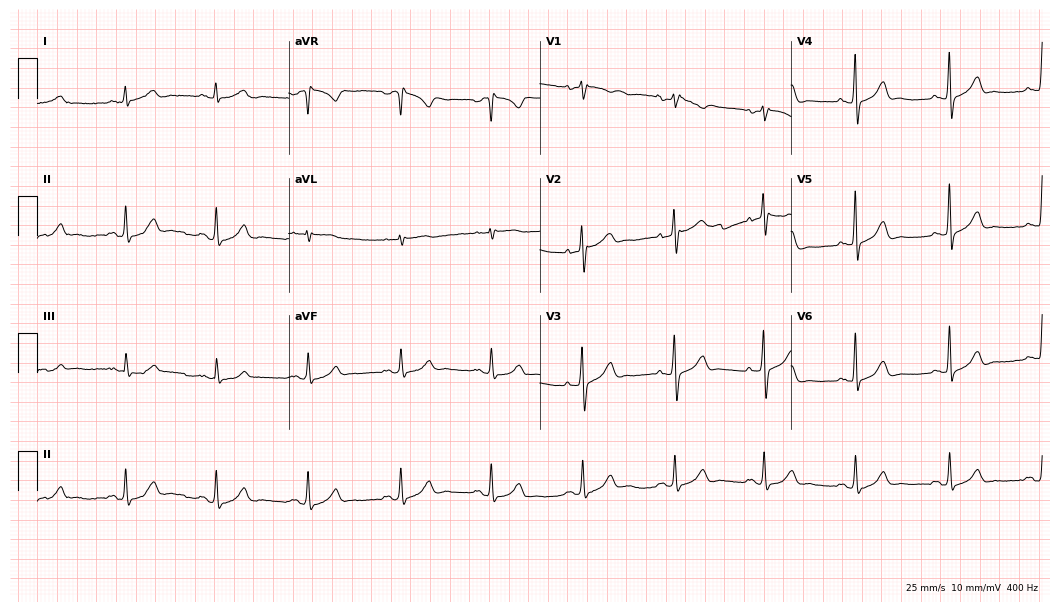
12-lead ECG from a male, 71 years old. Labelled as a normal ECG.